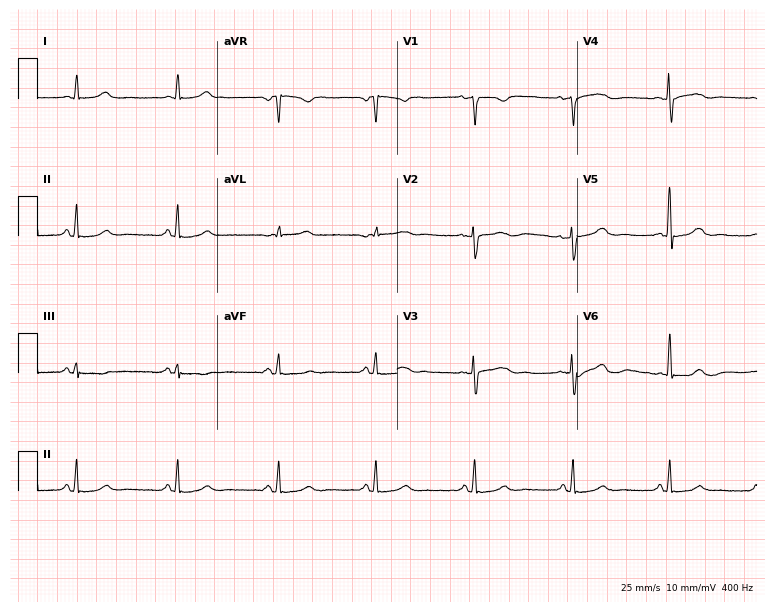
Resting 12-lead electrocardiogram. Patient: a 35-year-old female. Read as a normal ECG.